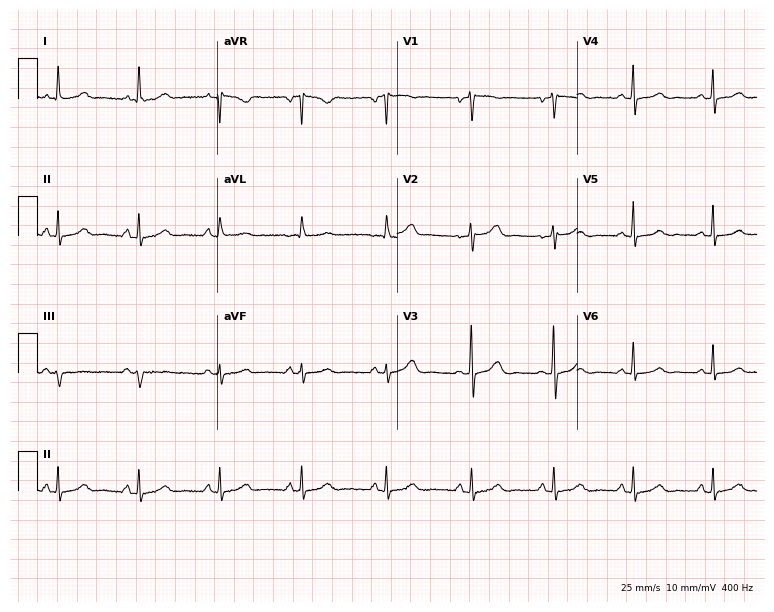
Electrocardiogram (7.3-second recording at 400 Hz), a female patient, 63 years old. Overall reading on record: normal ECG.